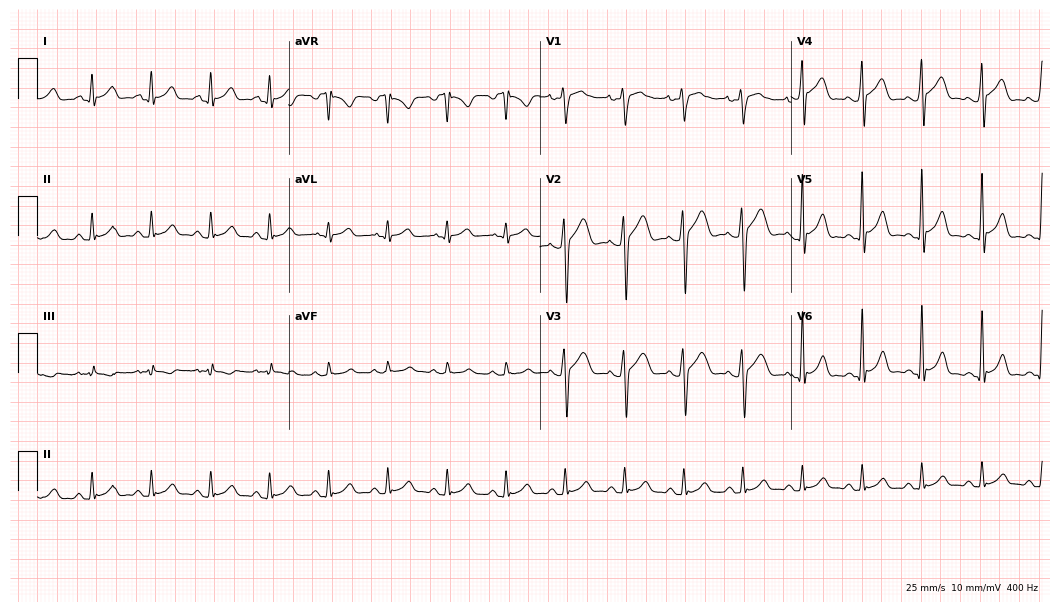
ECG (10.2-second recording at 400 Hz) — a 25-year-old man. Labelled as a normal ECG.